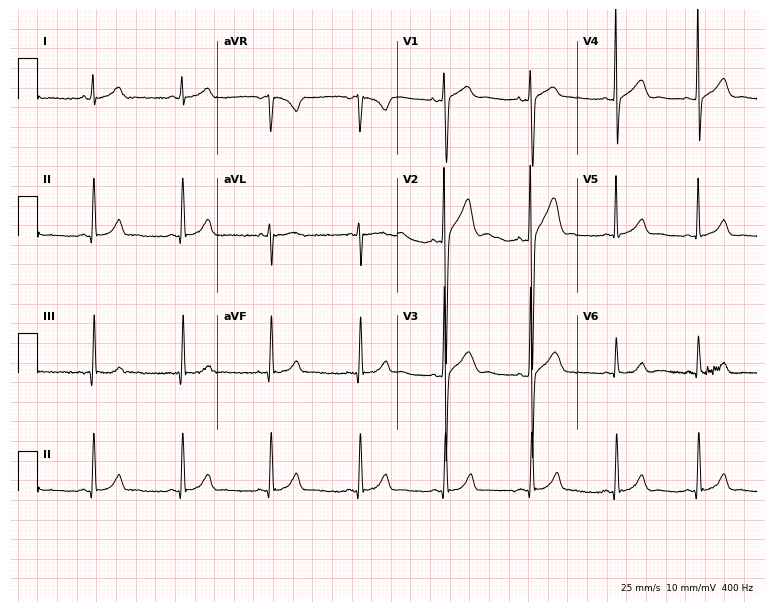
Standard 12-lead ECG recorded from a man, 36 years old (7.3-second recording at 400 Hz). Read as a normal ECG.